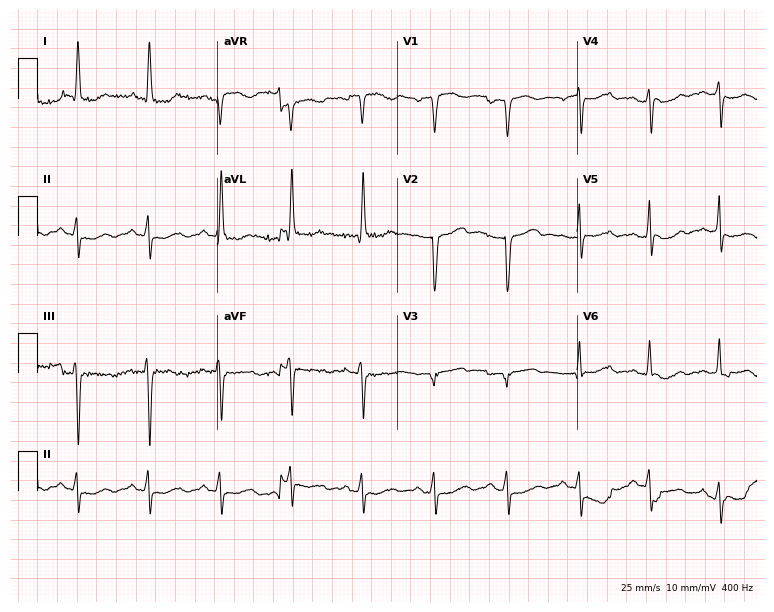
Standard 12-lead ECG recorded from a 57-year-old woman. None of these six findings is recorded: first-degree AV block, right bundle branch block, left bundle branch block, sinus bradycardia, atrial fibrillation, sinus tachycardia. Other findings, if any, are not listed.